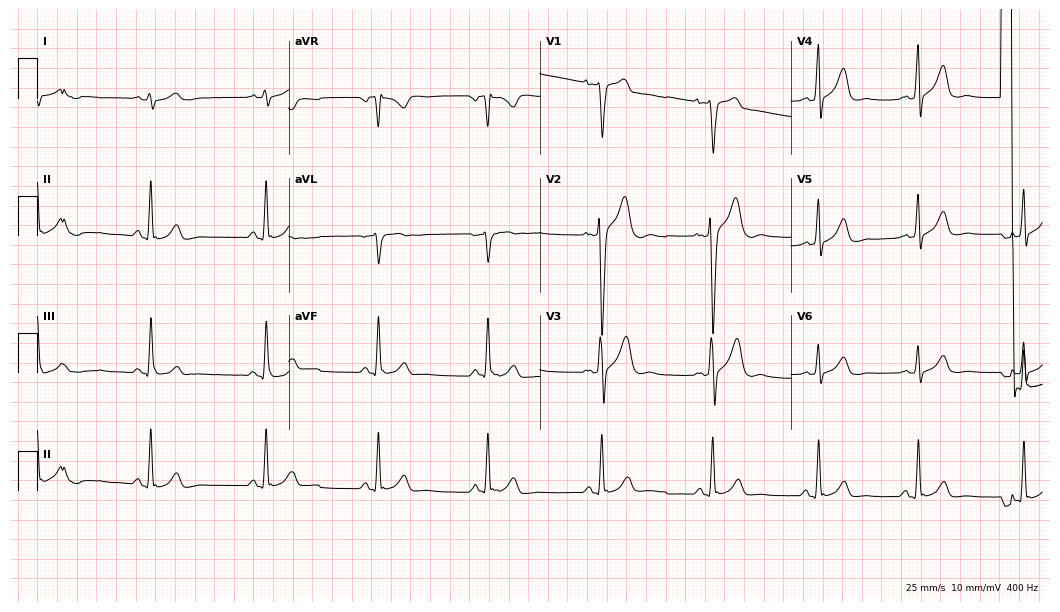
12-lead ECG from a 23-year-old male patient (10.2-second recording at 400 Hz). No first-degree AV block, right bundle branch block (RBBB), left bundle branch block (LBBB), sinus bradycardia, atrial fibrillation (AF) or sinus tachycardia recorded for this tracing. Only these six findings were labelled.